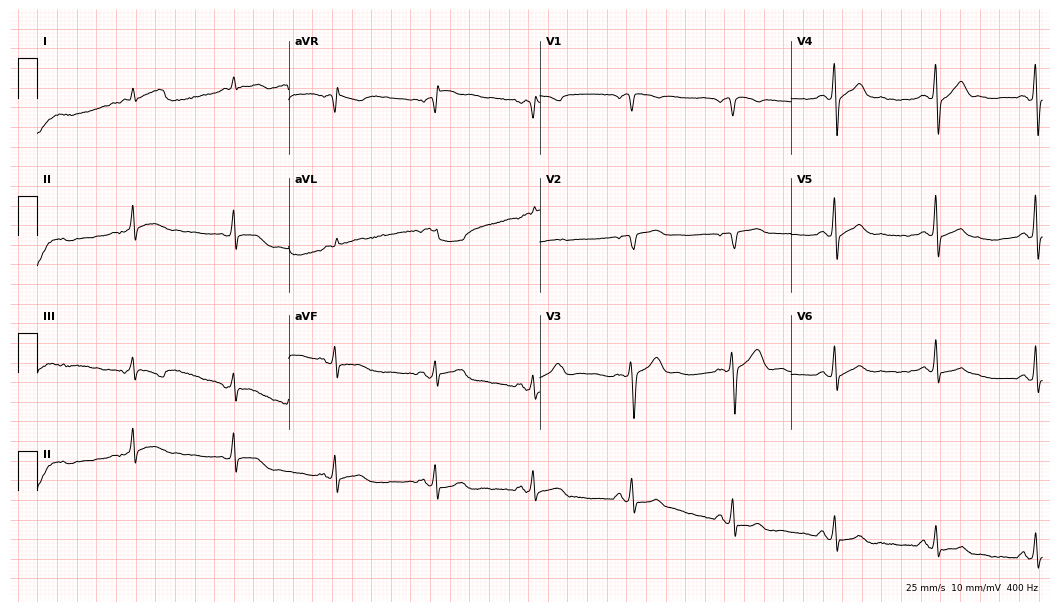
Standard 12-lead ECG recorded from an 82-year-old male. None of these six findings is recorded: first-degree AV block, right bundle branch block (RBBB), left bundle branch block (LBBB), sinus bradycardia, atrial fibrillation (AF), sinus tachycardia.